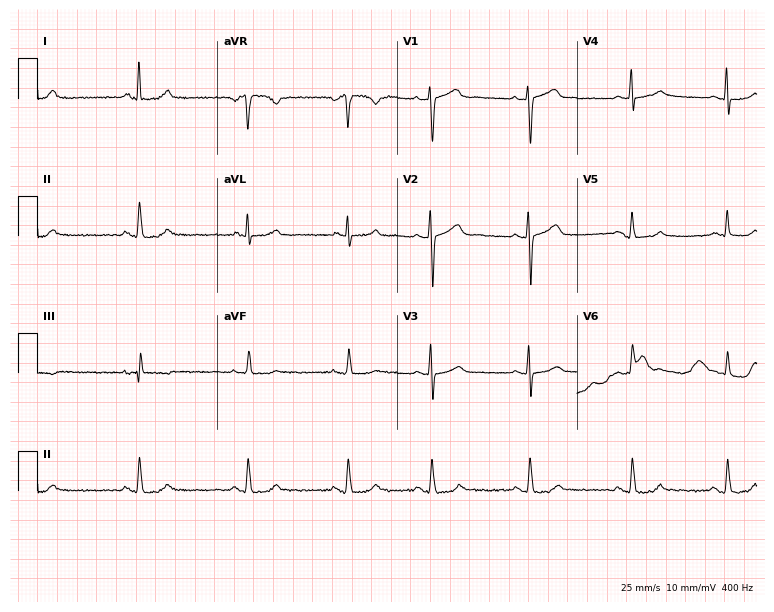
Standard 12-lead ECG recorded from a 22-year-old woman. Read as a normal ECG.